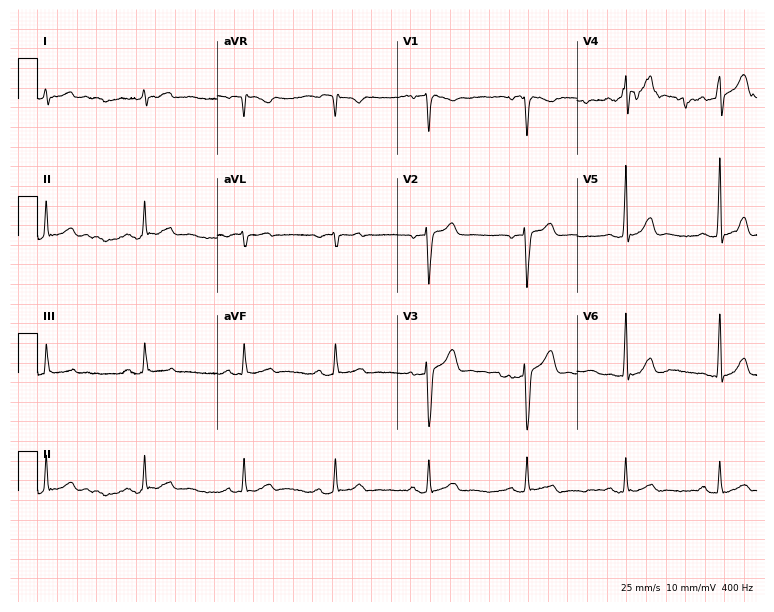
ECG (7.3-second recording at 400 Hz) — a male patient, 23 years old. Screened for six findings — first-degree AV block, right bundle branch block, left bundle branch block, sinus bradycardia, atrial fibrillation, sinus tachycardia — none is recorded. Only these six findings were labelled.